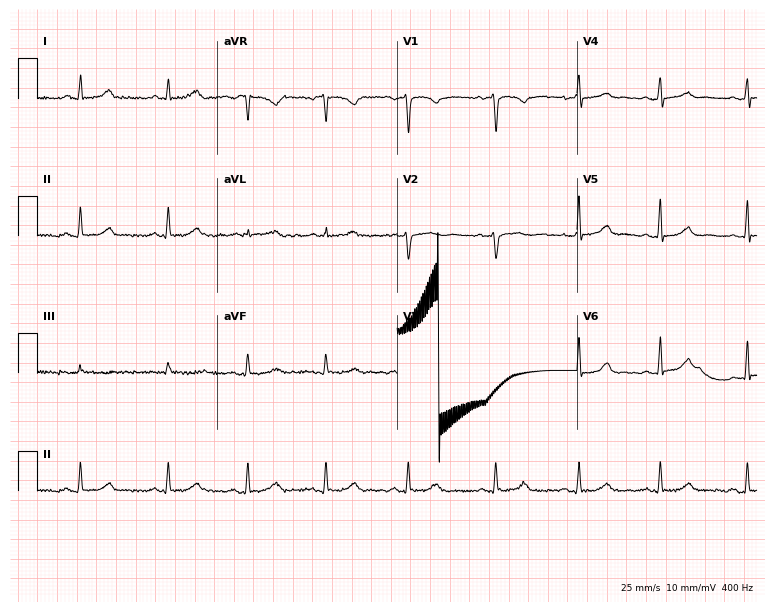
ECG — a 31-year-old woman. Labelled as a normal ECG.